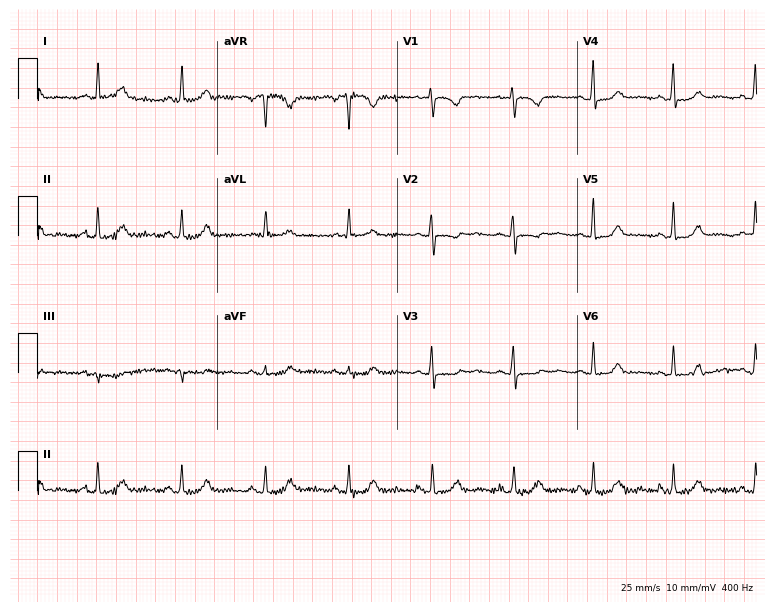
ECG (7.3-second recording at 400 Hz) — a 51-year-old female patient. Screened for six findings — first-degree AV block, right bundle branch block (RBBB), left bundle branch block (LBBB), sinus bradycardia, atrial fibrillation (AF), sinus tachycardia — none is recorded. Findings outside these six are not listed.